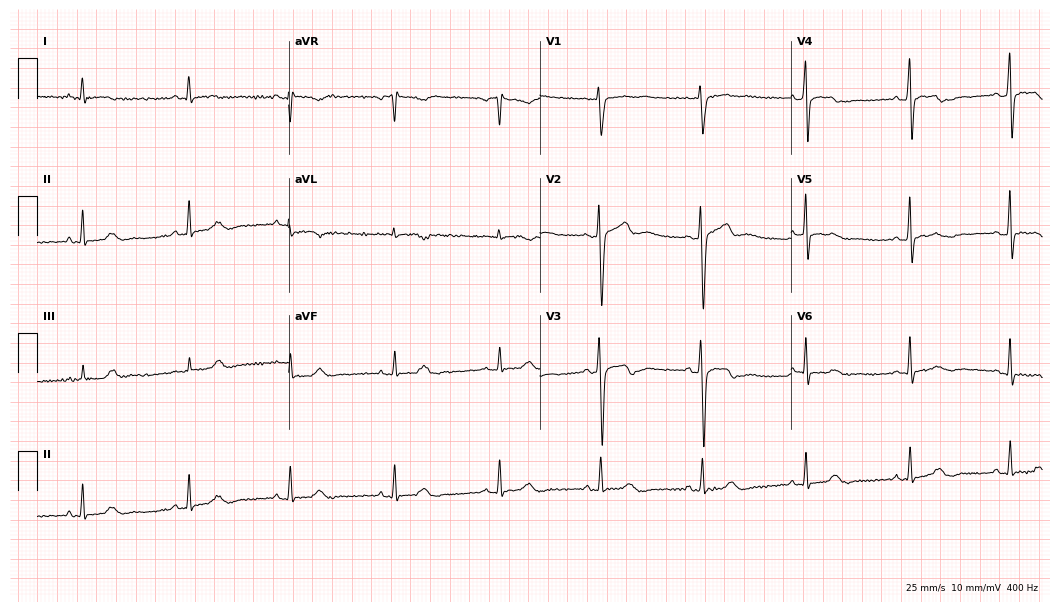
Resting 12-lead electrocardiogram (10.2-second recording at 400 Hz). Patient: a female, 71 years old. None of these six findings is recorded: first-degree AV block, right bundle branch block, left bundle branch block, sinus bradycardia, atrial fibrillation, sinus tachycardia.